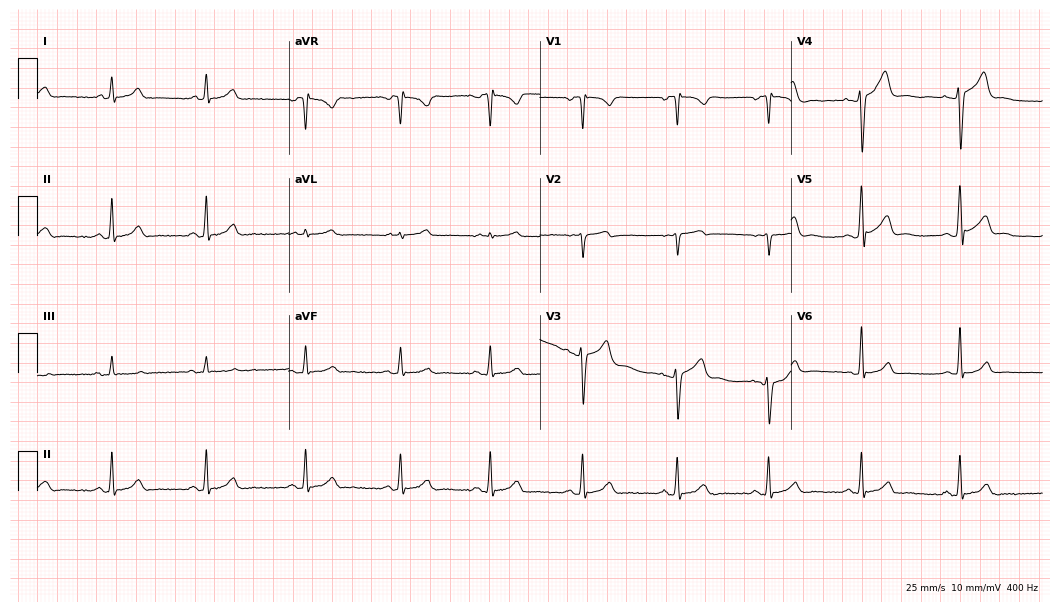
12-lead ECG from a man, 29 years old. Recorded interpretation: within normal limits.